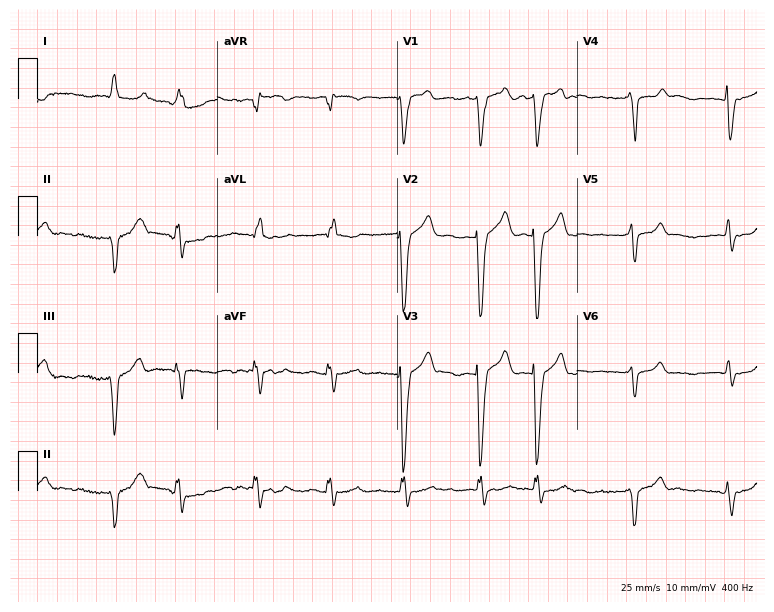
12-lead ECG (7.3-second recording at 400 Hz) from an 83-year-old female patient. Findings include atrial fibrillation.